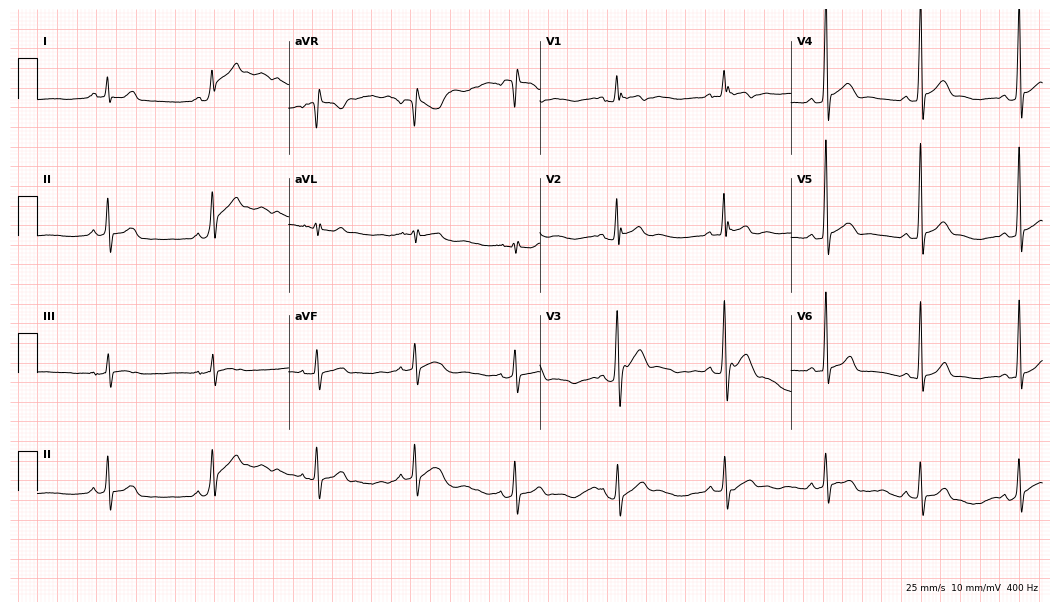
12-lead ECG (10.2-second recording at 400 Hz) from a 35-year-old male patient. Labelled as a normal ECG.